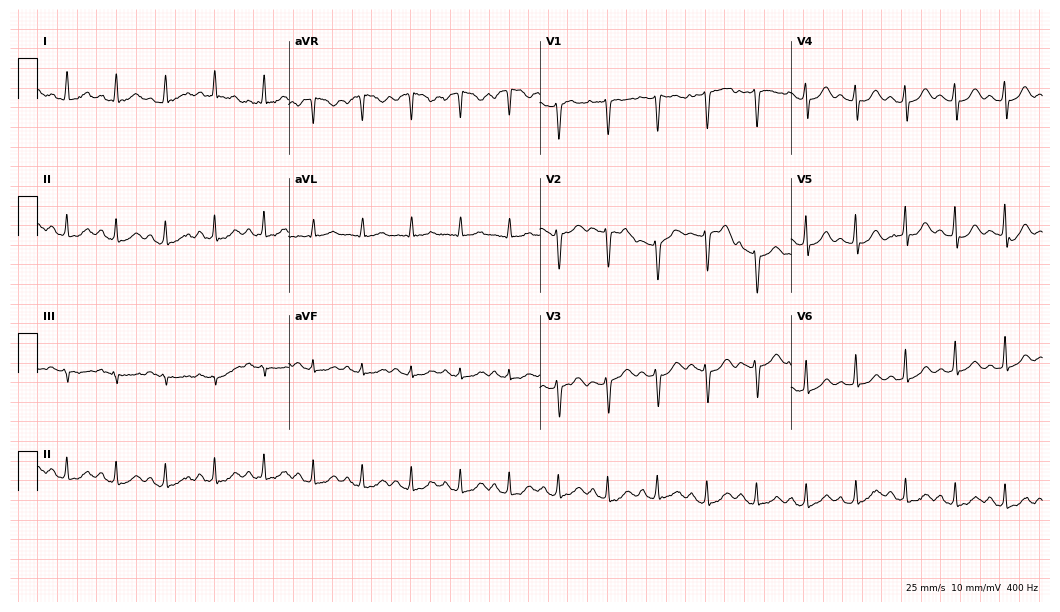
12-lead ECG (10.2-second recording at 400 Hz) from a 24-year-old female. Screened for six findings — first-degree AV block, right bundle branch block, left bundle branch block, sinus bradycardia, atrial fibrillation, sinus tachycardia — none is recorded. Findings outside these six are not listed.